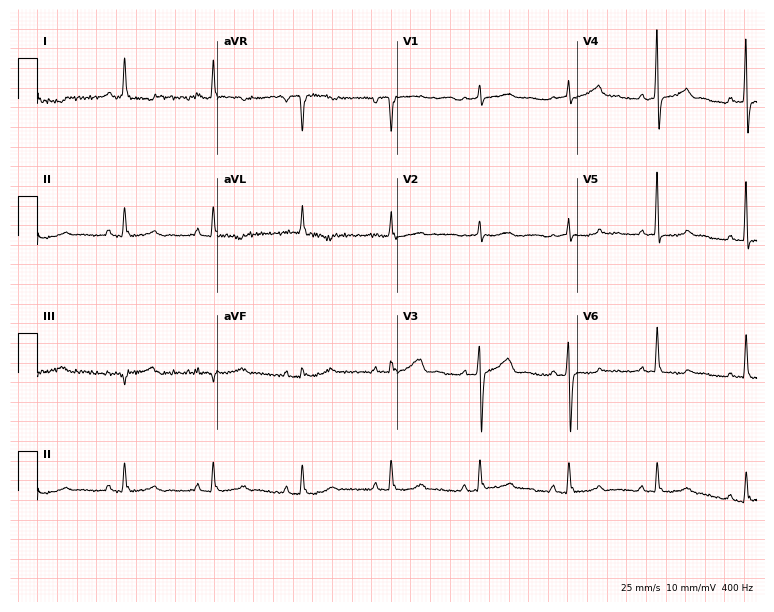
ECG — a 57-year-old female. Screened for six findings — first-degree AV block, right bundle branch block (RBBB), left bundle branch block (LBBB), sinus bradycardia, atrial fibrillation (AF), sinus tachycardia — none is recorded.